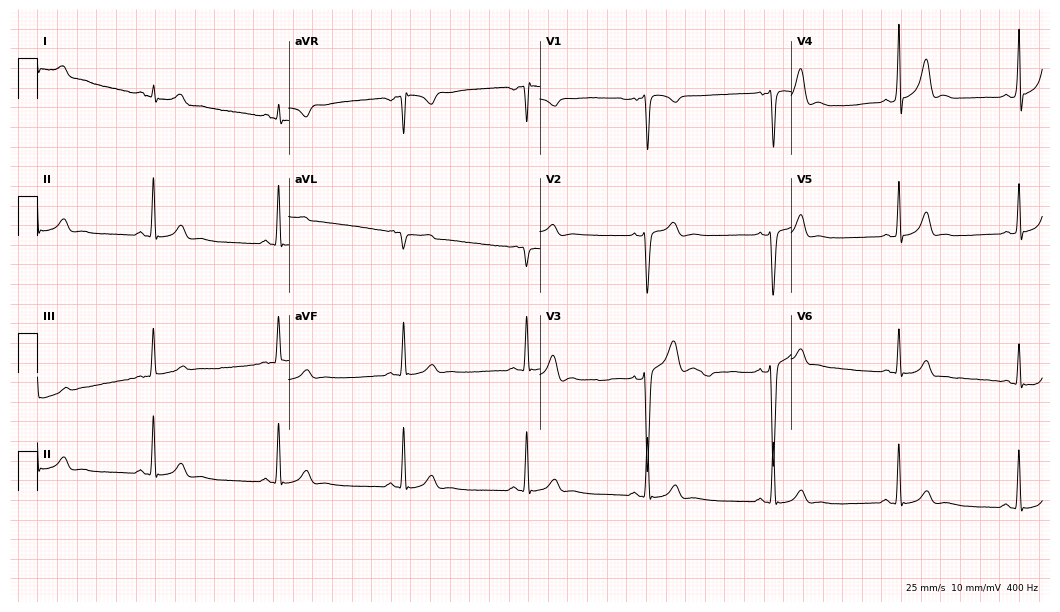
Standard 12-lead ECG recorded from a male patient, 24 years old. None of these six findings is recorded: first-degree AV block, right bundle branch block, left bundle branch block, sinus bradycardia, atrial fibrillation, sinus tachycardia.